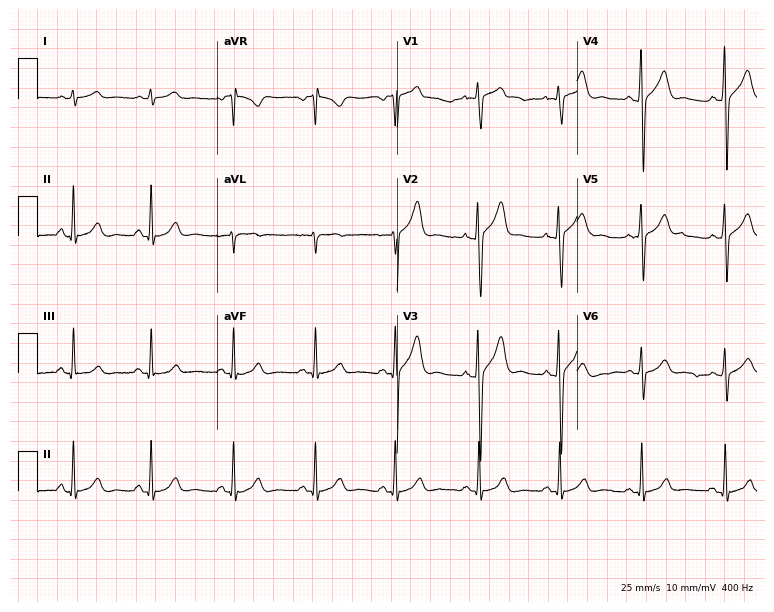
ECG (7.3-second recording at 400 Hz) — a 41-year-old man. Screened for six findings — first-degree AV block, right bundle branch block, left bundle branch block, sinus bradycardia, atrial fibrillation, sinus tachycardia — none is recorded.